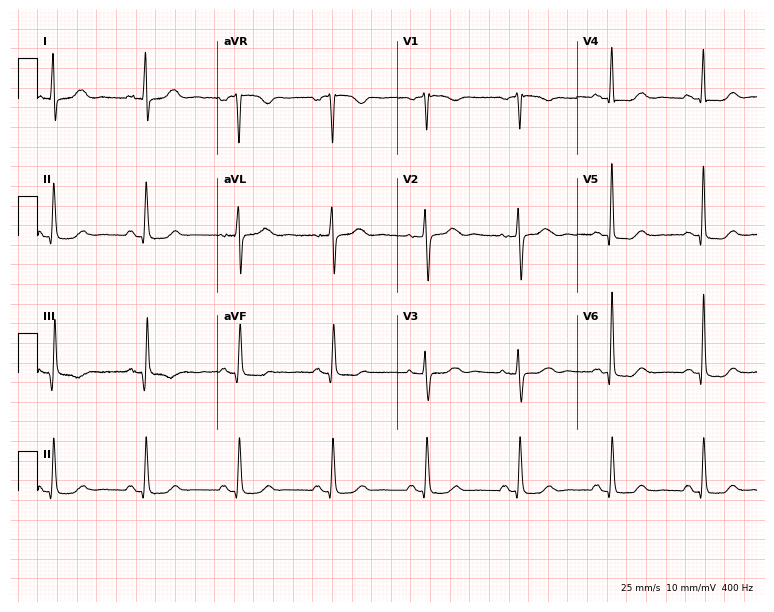
12-lead ECG from a 69-year-old female patient. Recorded interpretation: within normal limits.